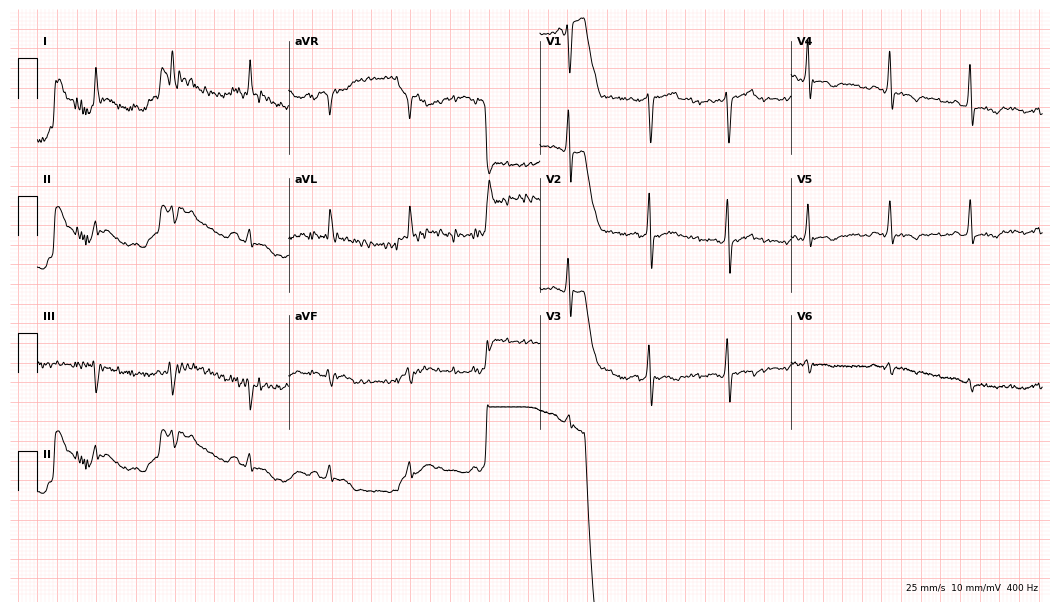
12-lead ECG from a 70-year-old male. Screened for six findings — first-degree AV block, right bundle branch block (RBBB), left bundle branch block (LBBB), sinus bradycardia, atrial fibrillation (AF), sinus tachycardia — none is recorded.